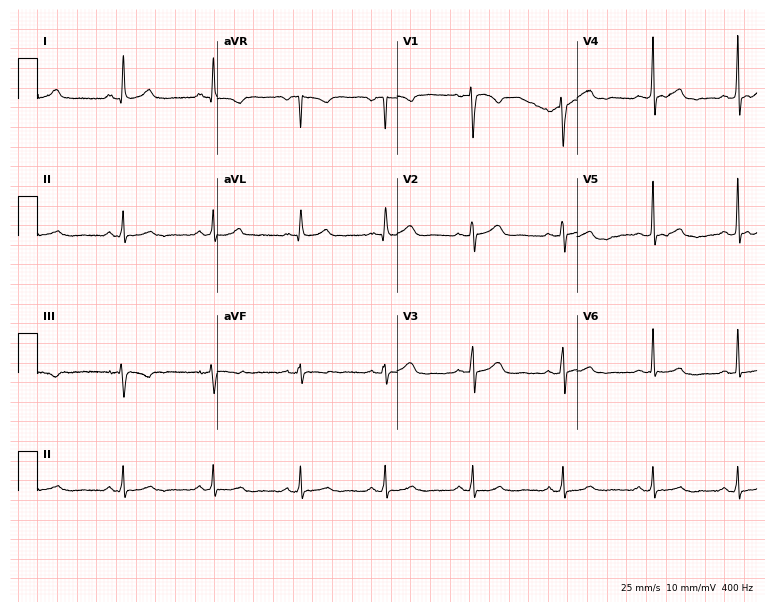
Standard 12-lead ECG recorded from a 40-year-old woman (7.3-second recording at 400 Hz). Read as a normal ECG.